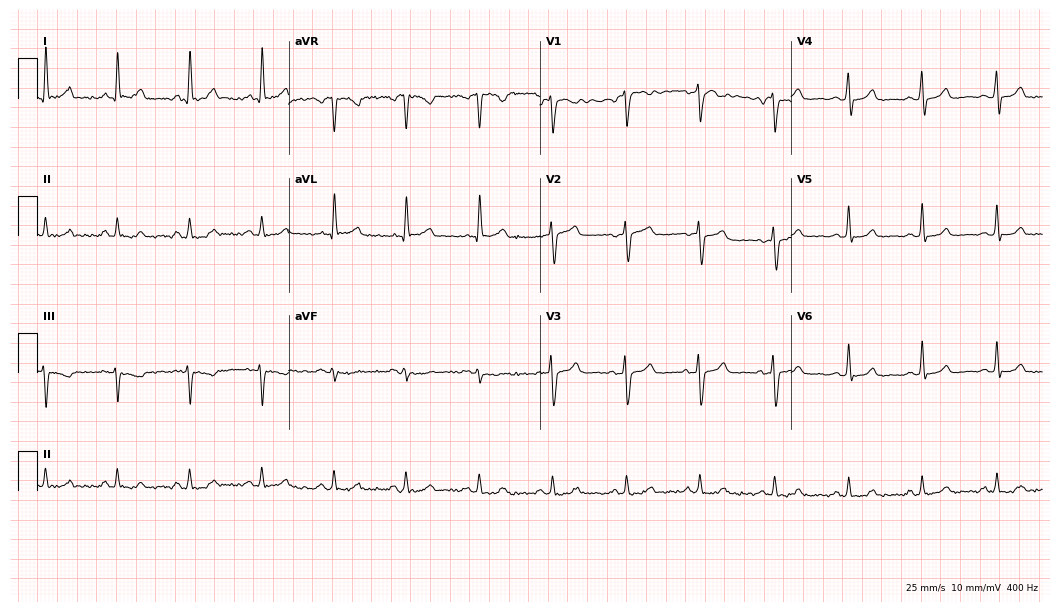
12-lead ECG from a male, 57 years old. Labelled as a normal ECG.